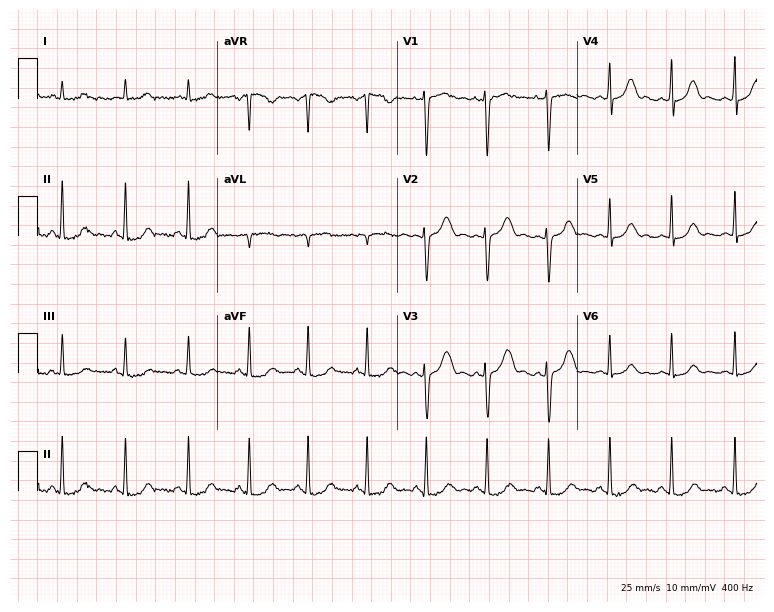
Resting 12-lead electrocardiogram (7.3-second recording at 400 Hz). Patient: a 28-year-old female. None of these six findings is recorded: first-degree AV block, right bundle branch block, left bundle branch block, sinus bradycardia, atrial fibrillation, sinus tachycardia.